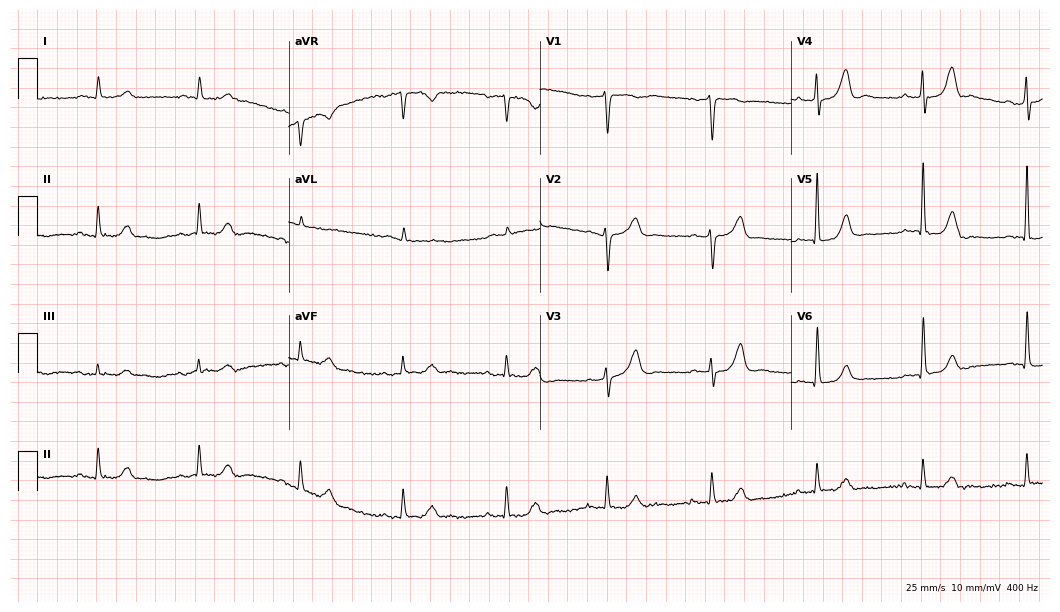
ECG — a man, 85 years old. Labelled as a normal ECG.